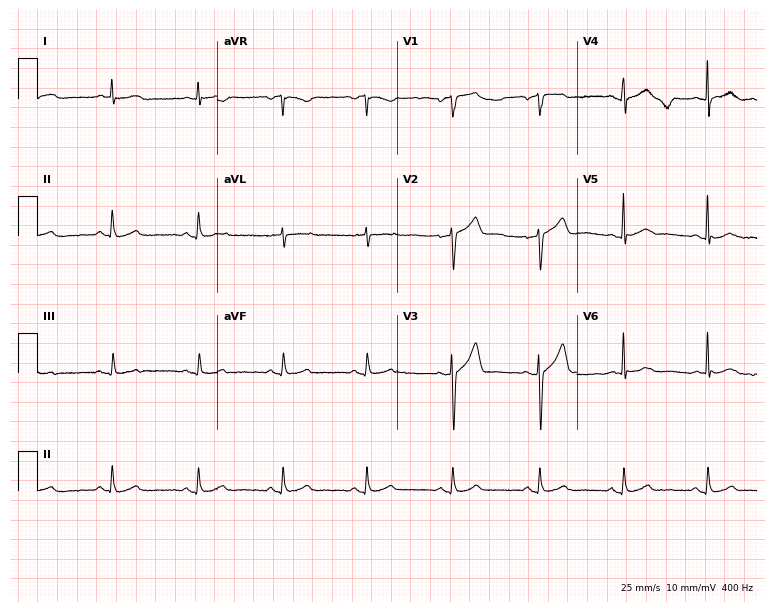
Resting 12-lead electrocardiogram (7.3-second recording at 400 Hz). Patient: a 79-year-old male. Read as a normal ECG.